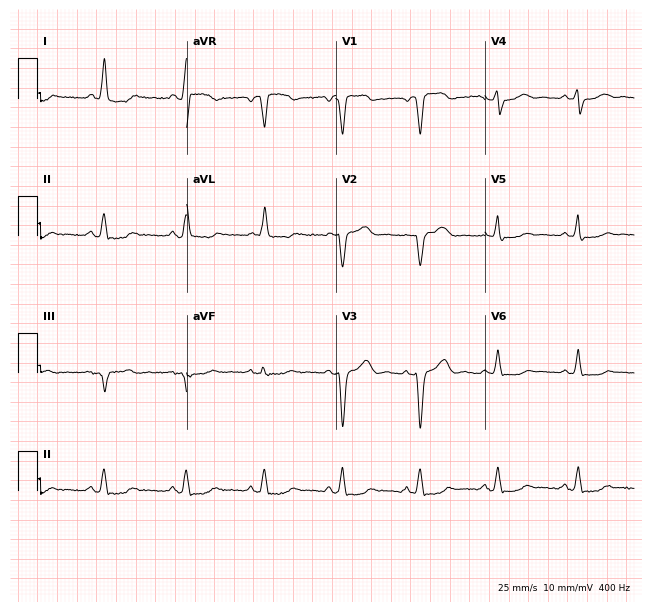
Standard 12-lead ECG recorded from a woman, 66 years old. None of these six findings is recorded: first-degree AV block, right bundle branch block (RBBB), left bundle branch block (LBBB), sinus bradycardia, atrial fibrillation (AF), sinus tachycardia.